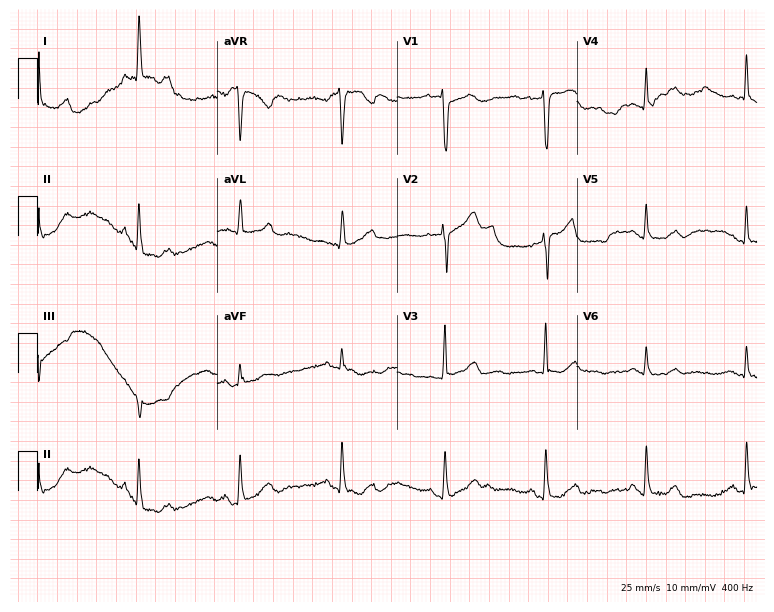
12-lead ECG from a female patient, 58 years old. Recorded interpretation: within normal limits.